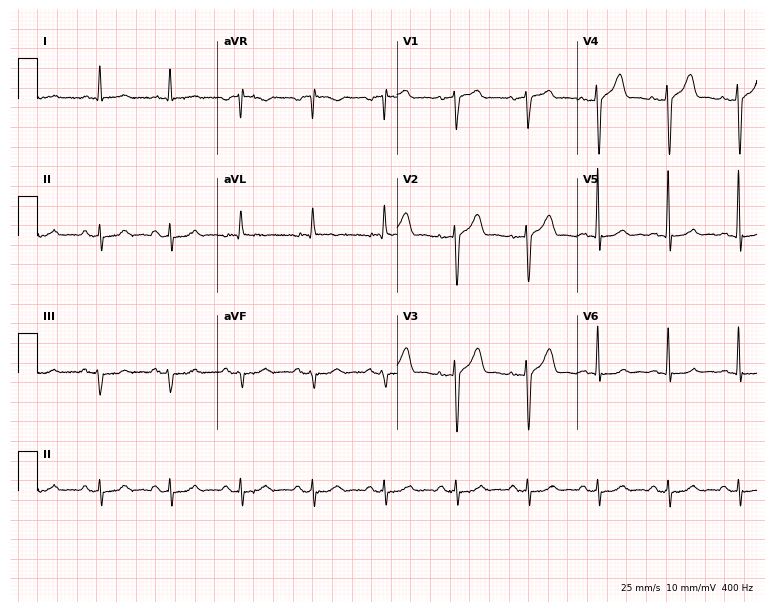
12-lead ECG from a 76-year-old male. No first-degree AV block, right bundle branch block (RBBB), left bundle branch block (LBBB), sinus bradycardia, atrial fibrillation (AF) or sinus tachycardia recorded for this tracing. Only these six findings were labelled.